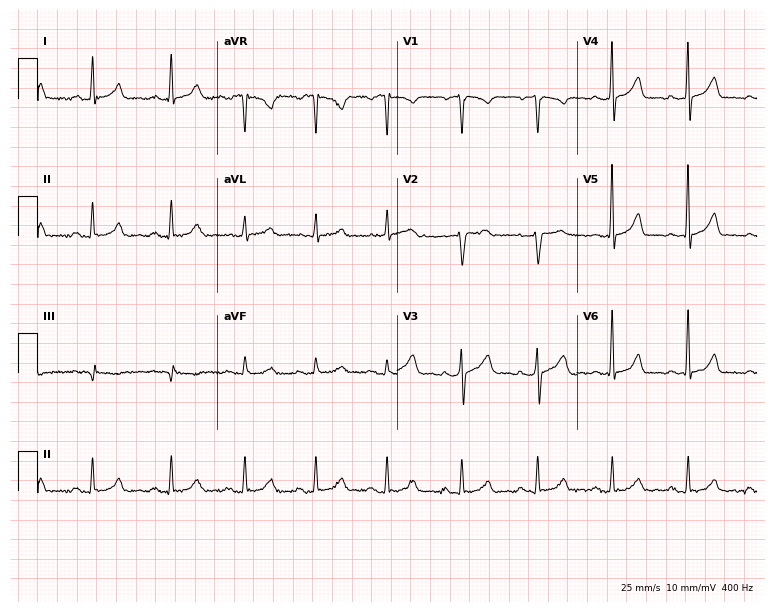
Standard 12-lead ECG recorded from a 38-year-old female. None of these six findings is recorded: first-degree AV block, right bundle branch block, left bundle branch block, sinus bradycardia, atrial fibrillation, sinus tachycardia.